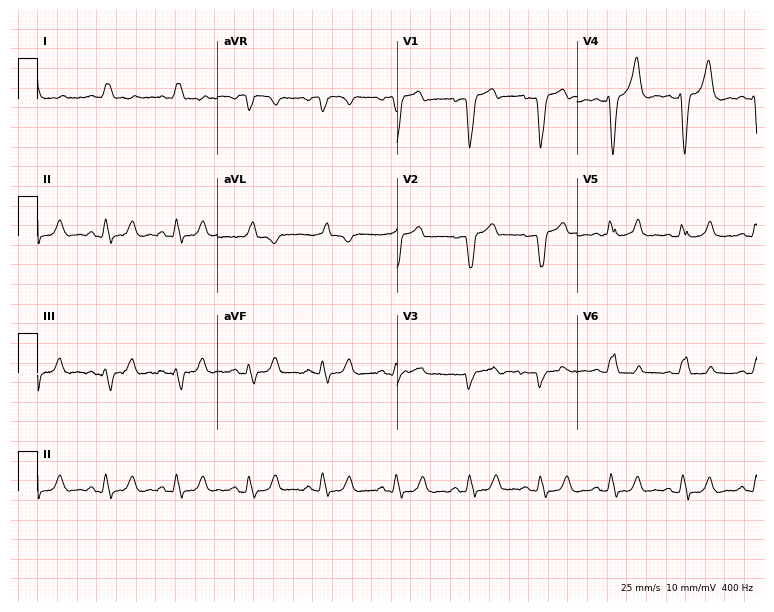
Resting 12-lead electrocardiogram (7.3-second recording at 400 Hz). Patient: a 39-year-old woman. None of these six findings is recorded: first-degree AV block, right bundle branch block, left bundle branch block, sinus bradycardia, atrial fibrillation, sinus tachycardia. Findings outside these six are not listed.